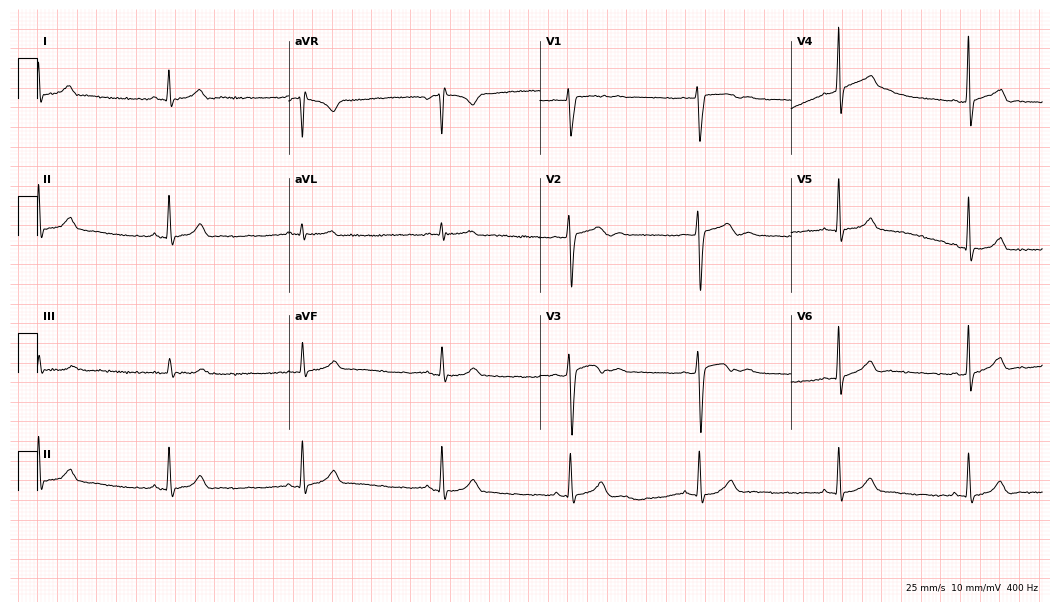
Electrocardiogram, a male patient, 17 years old. Interpretation includes sinus bradycardia (a sinus rate of 50 beats per minute or less).